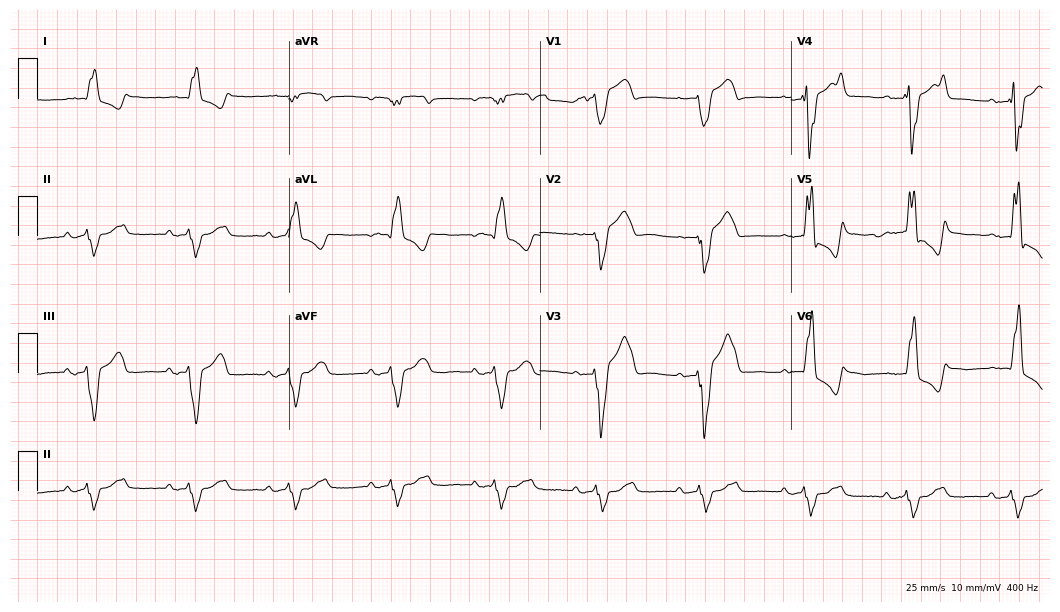
12-lead ECG from a 75-year-old male patient. Shows left bundle branch block.